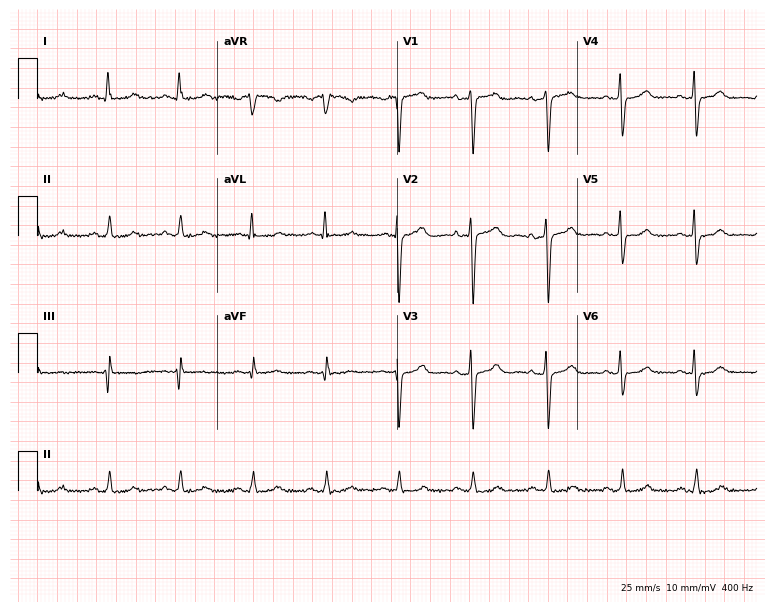
Resting 12-lead electrocardiogram. Patient: a female, 58 years old. None of these six findings is recorded: first-degree AV block, right bundle branch block, left bundle branch block, sinus bradycardia, atrial fibrillation, sinus tachycardia. Other findings, if any, are not listed.